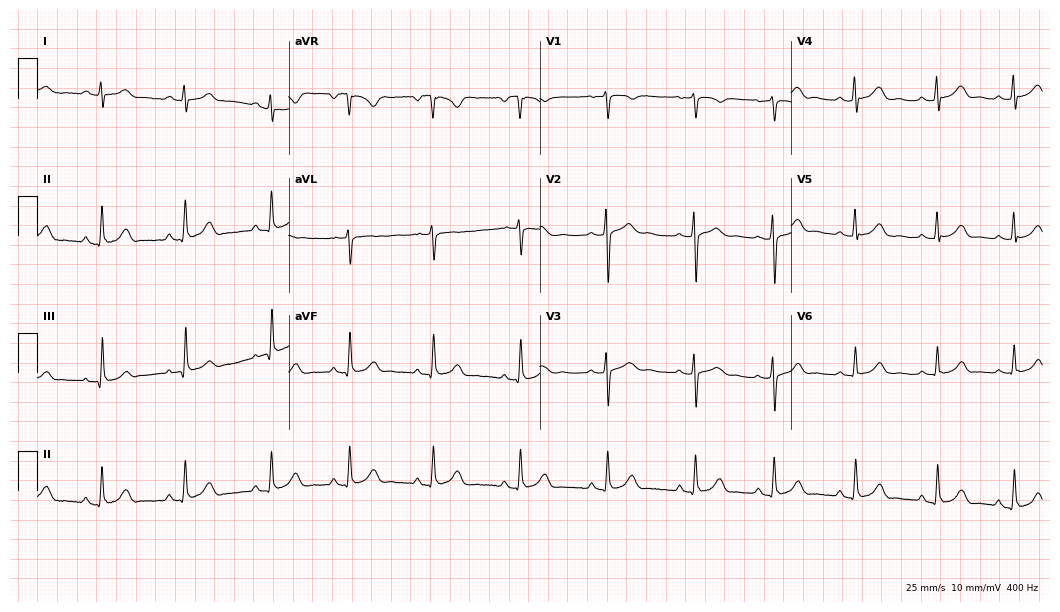
ECG (10.2-second recording at 400 Hz) — a 28-year-old female patient. Screened for six findings — first-degree AV block, right bundle branch block, left bundle branch block, sinus bradycardia, atrial fibrillation, sinus tachycardia — none is recorded.